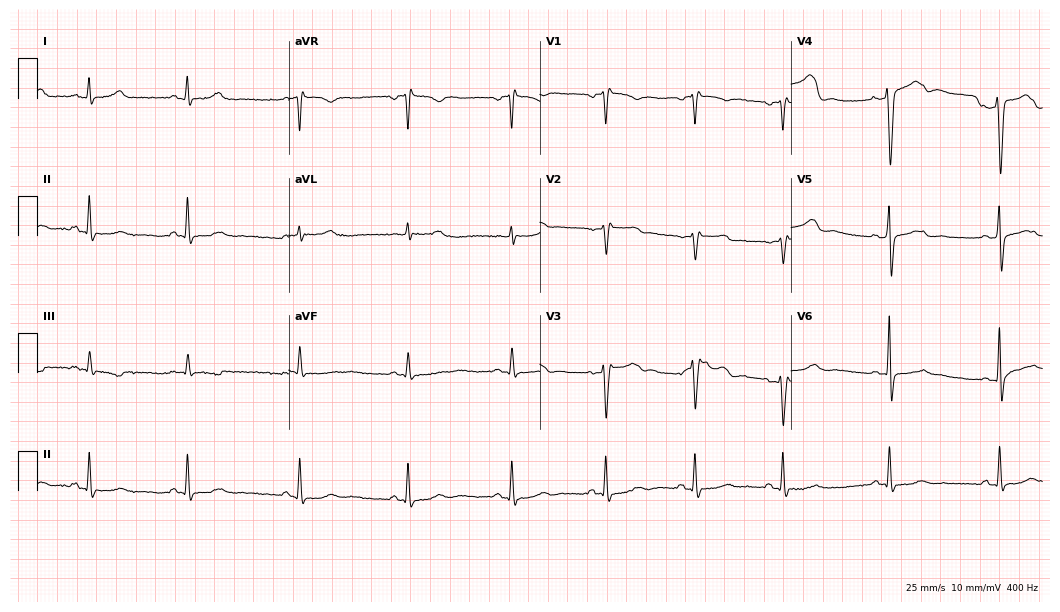
Standard 12-lead ECG recorded from a 49-year-old woman (10.2-second recording at 400 Hz). None of these six findings is recorded: first-degree AV block, right bundle branch block, left bundle branch block, sinus bradycardia, atrial fibrillation, sinus tachycardia. Findings outside these six are not listed.